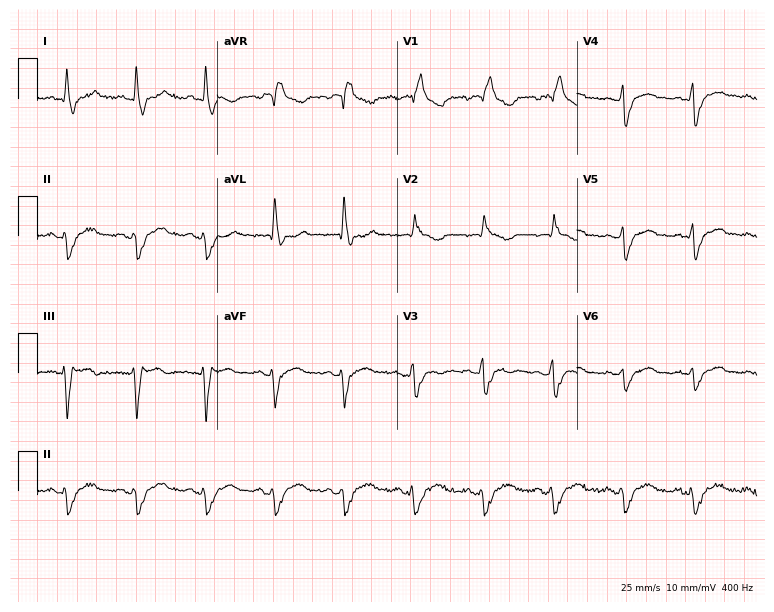
Standard 12-lead ECG recorded from a 74-year-old female patient. None of these six findings is recorded: first-degree AV block, right bundle branch block (RBBB), left bundle branch block (LBBB), sinus bradycardia, atrial fibrillation (AF), sinus tachycardia.